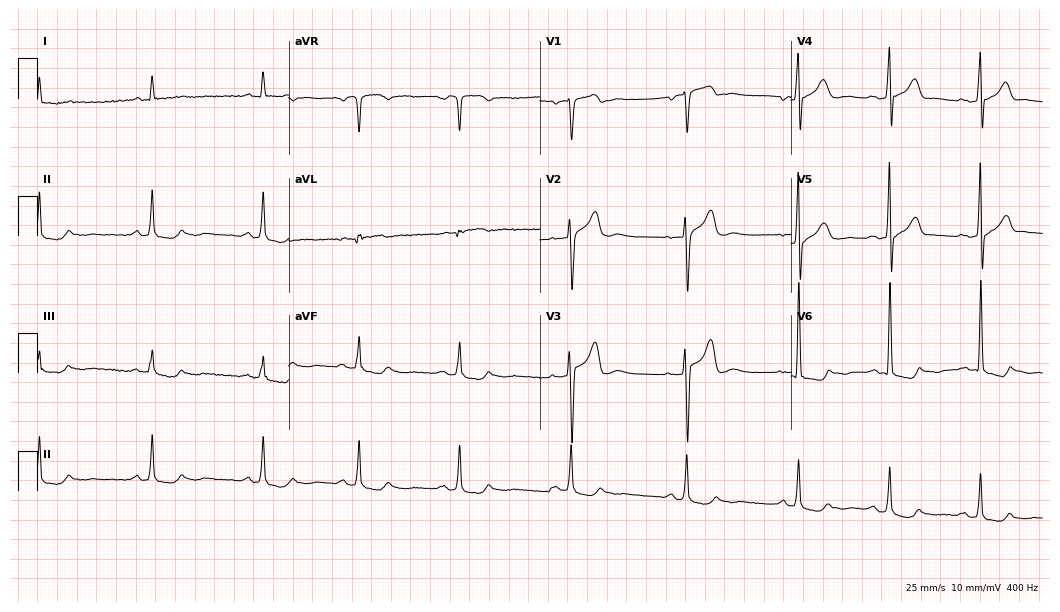
12-lead ECG from a 62-year-old man (10.2-second recording at 400 Hz). No first-degree AV block, right bundle branch block (RBBB), left bundle branch block (LBBB), sinus bradycardia, atrial fibrillation (AF) or sinus tachycardia recorded for this tracing.